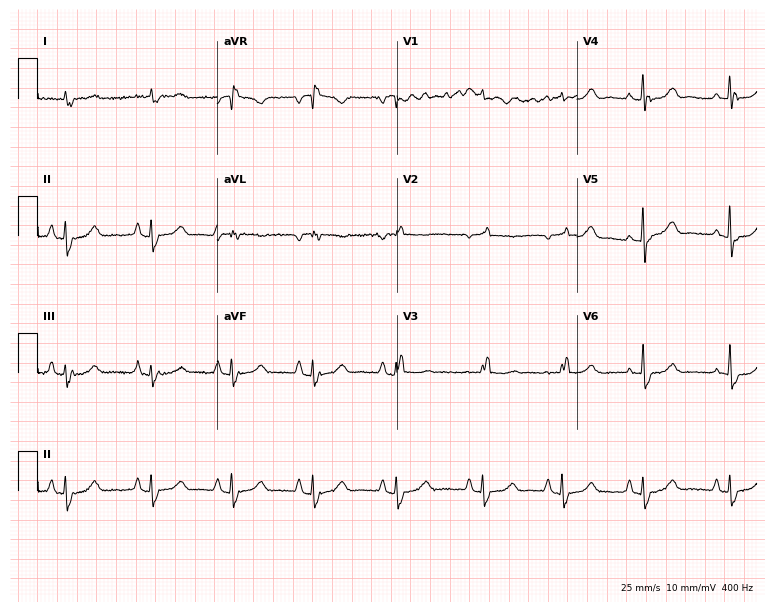
Standard 12-lead ECG recorded from a female patient, 79 years old. None of these six findings is recorded: first-degree AV block, right bundle branch block, left bundle branch block, sinus bradycardia, atrial fibrillation, sinus tachycardia.